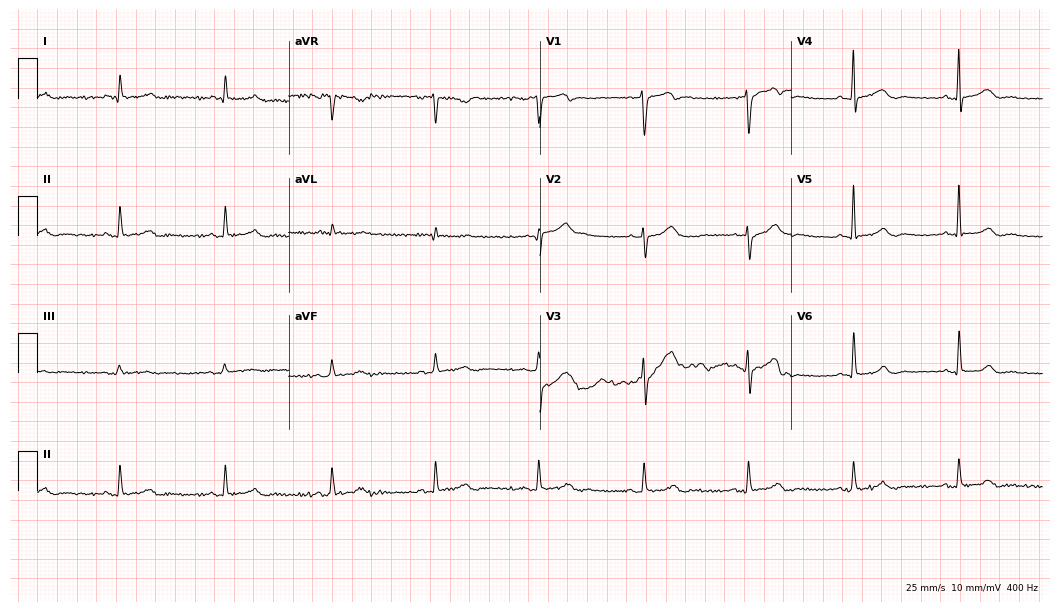
Resting 12-lead electrocardiogram (10.2-second recording at 400 Hz). Patient: an 83-year-old male. None of these six findings is recorded: first-degree AV block, right bundle branch block, left bundle branch block, sinus bradycardia, atrial fibrillation, sinus tachycardia. Other findings, if any, are not listed.